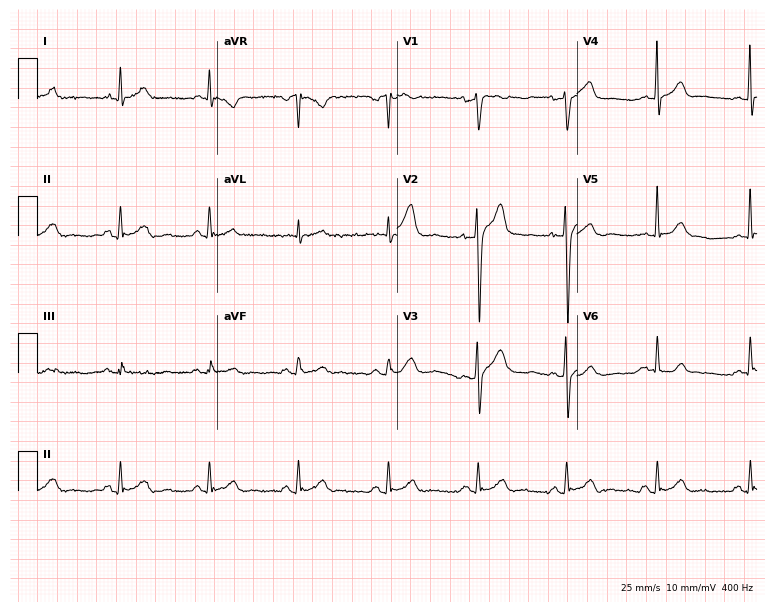
12-lead ECG (7.3-second recording at 400 Hz) from a 51-year-old man. Labelled as a normal ECG.